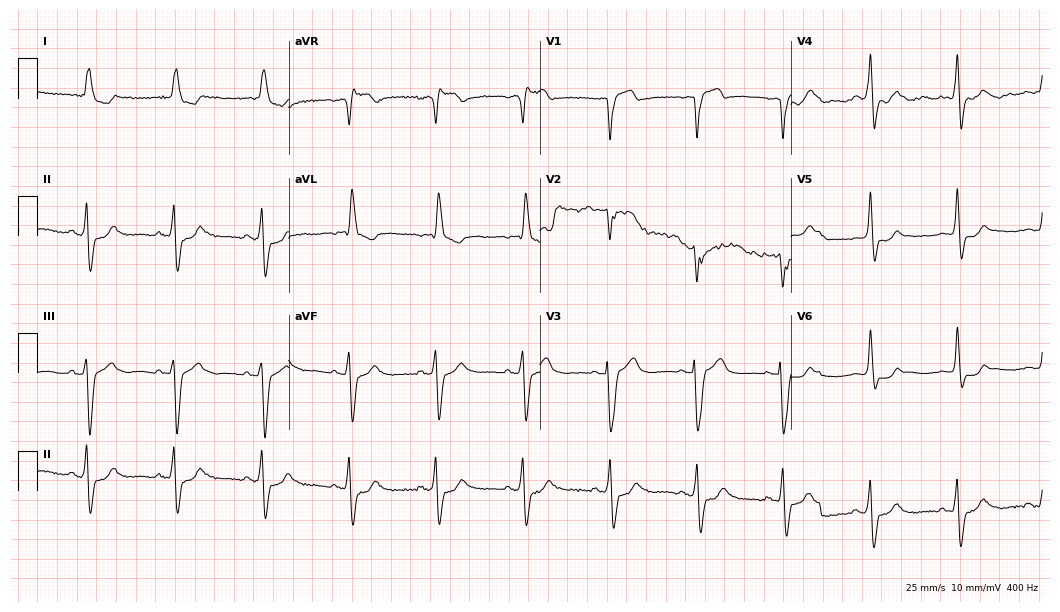
Resting 12-lead electrocardiogram. Patient: a female, 78 years old. The tracing shows left bundle branch block.